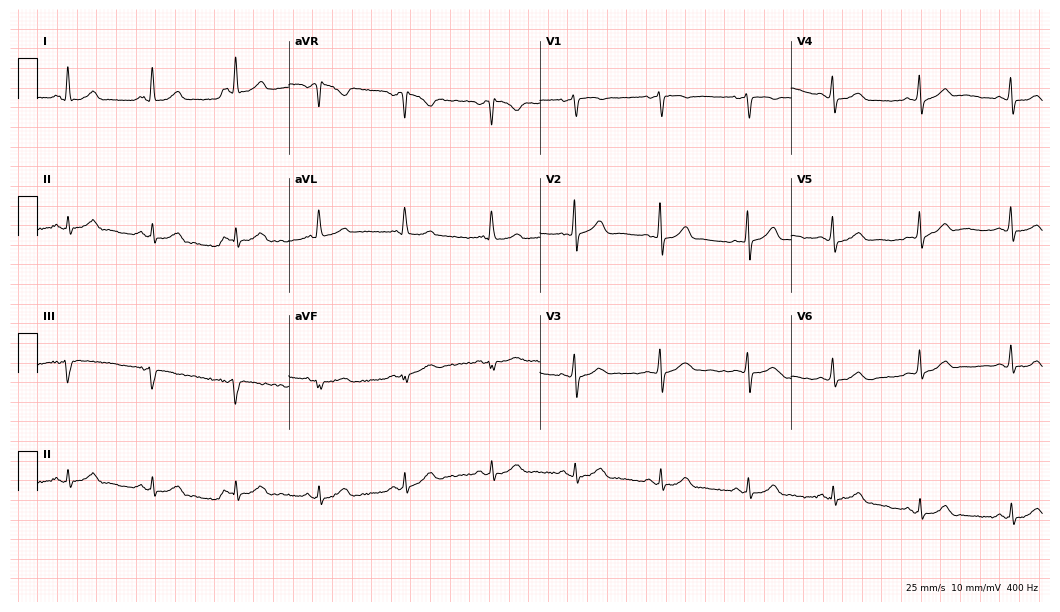
Resting 12-lead electrocardiogram. Patient: a female, 55 years old. Read as a normal ECG.